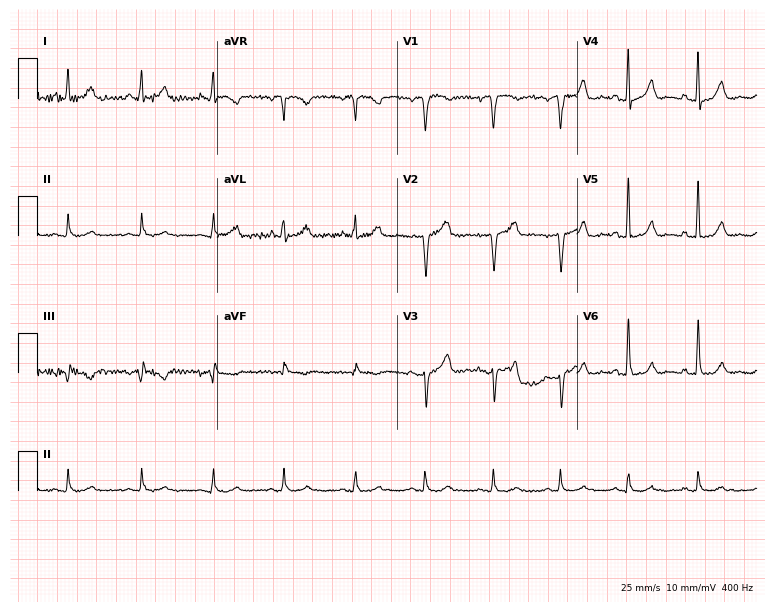
12-lead ECG from a female patient, 69 years old. No first-degree AV block, right bundle branch block, left bundle branch block, sinus bradycardia, atrial fibrillation or sinus tachycardia recorded for this tracing.